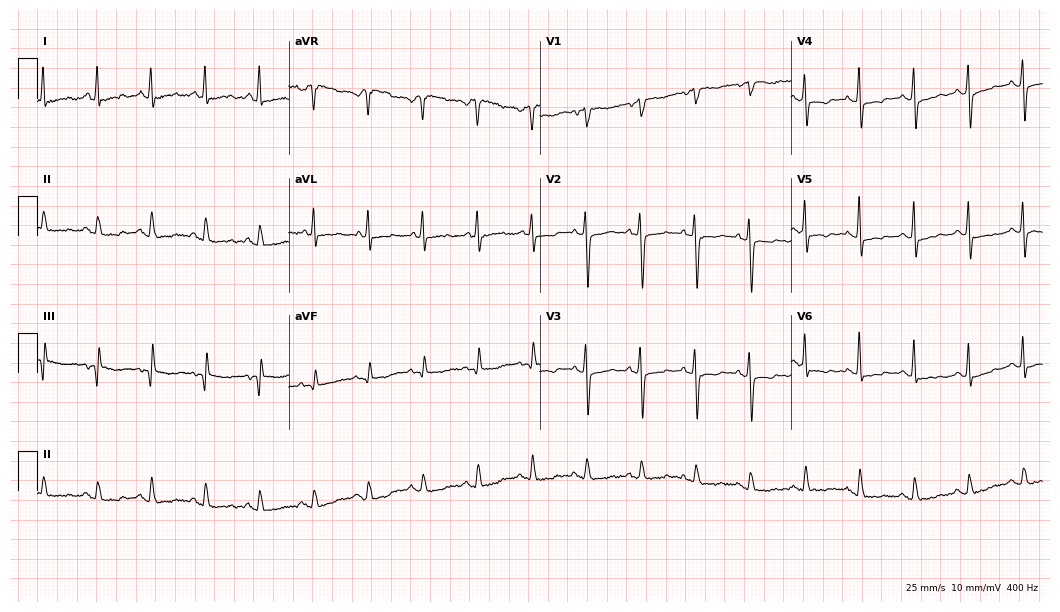
Standard 12-lead ECG recorded from a woman, 73 years old. The tracing shows sinus tachycardia (a sinus rate of 100 beats per minute or more).